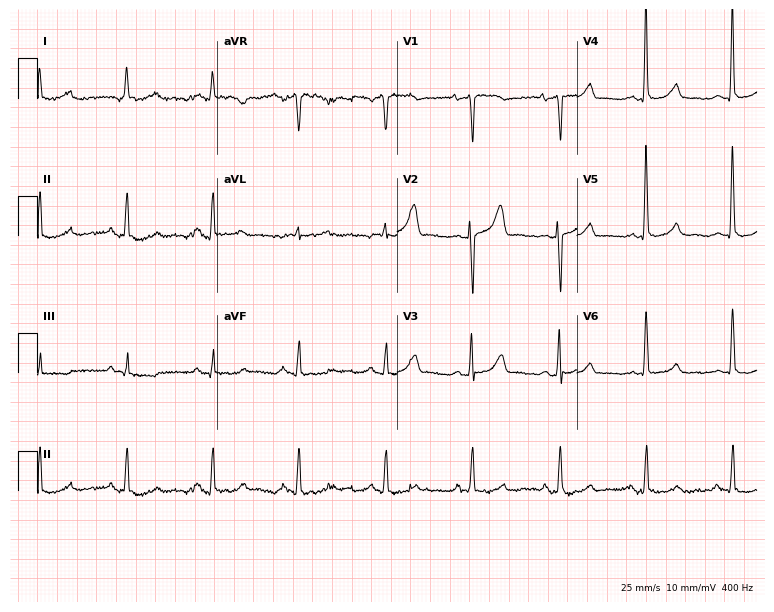
Resting 12-lead electrocardiogram. Patient: a female, 63 years old. Read as a normal ECG.